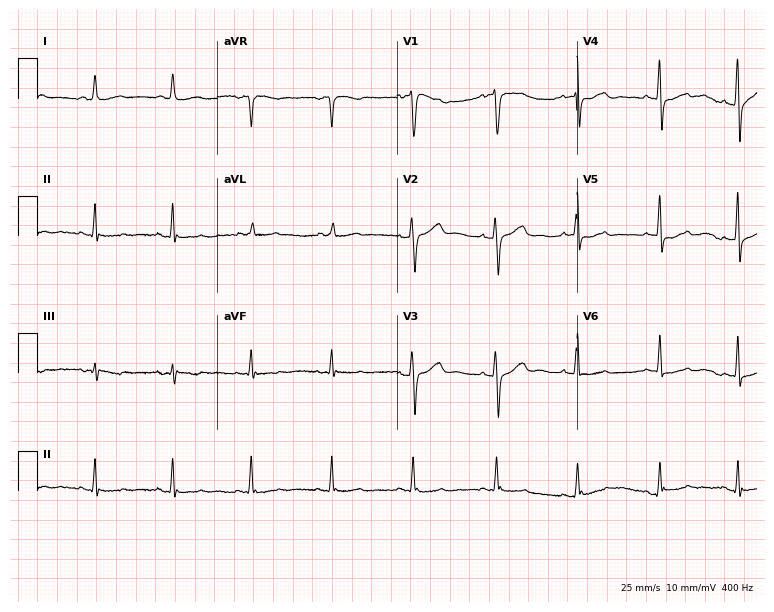
12-lead ECG from a woman, 48 years old (7.3-second recording at 400 Hz). No first-degree AV block, right bundle branch block, left bundle branch block, sinus bradycardia, atrial fibrillation or sinus tachycardia recorded for this tracing. Other findings, if any, are not listed.